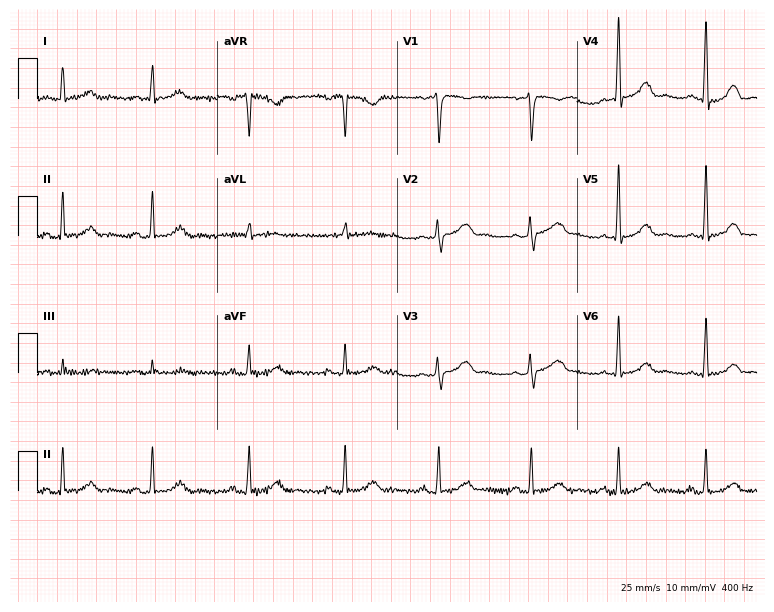
Standard 12-lead ECG recorded from a woman, 41 years old (7.3-second recording at 400 Hz). Read as a normal ECG.